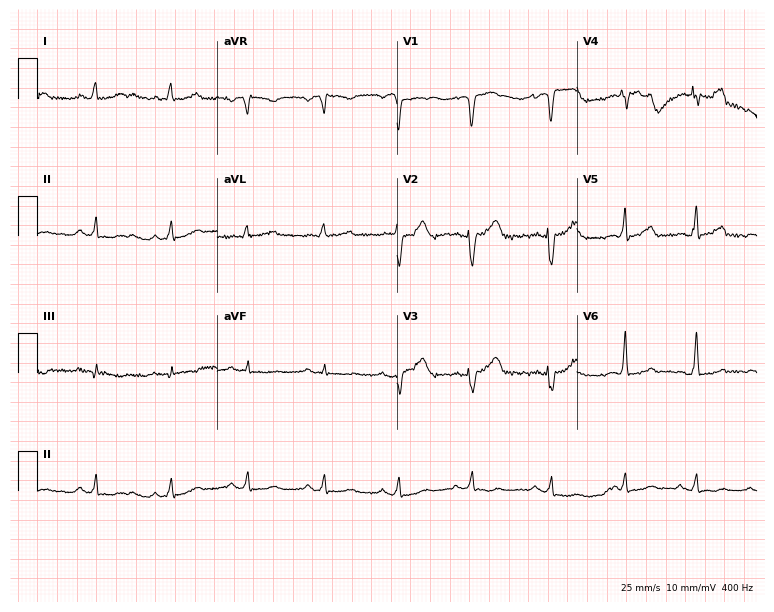
ECG (7.3-second recording at 400 Hz) — a 38-year-old female patient. Screened for six findings — first-degree AV block, right bundle branch block, left bundle branch block, sinus bradycardia, atrial fibrillation, sinus tachycardia — none is recorded.